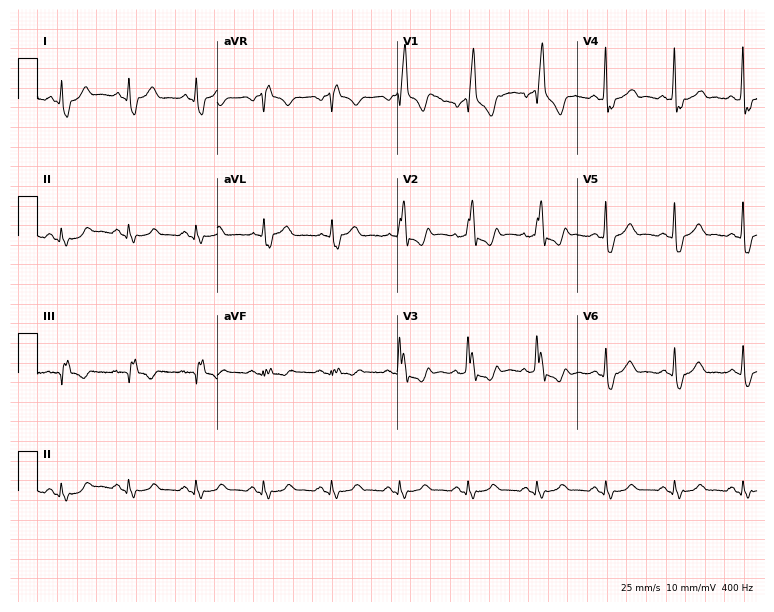
12-lead ECG from a 77-year-old male patient (7.3-second recording at 400 Hz). No first-degree AV block, right bundle branch block, left bundle branch block, sinus bradycardia, atrial fibrillation or sinus tachycardia recorded for this tracing. Findings outside these six are not listed.